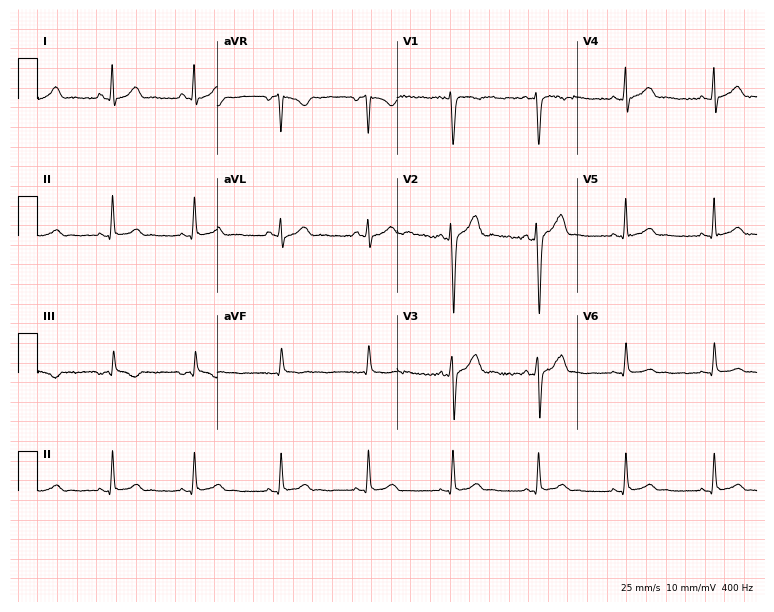
ECG (7.3-second recording at 400 Hz) — a 30-year-old man. Screened for six findings — first-degree AV block, right bundle branch block (RBBB), left bundle branch block (LBBB), sinus bradycardia, atrial fibrillation (AF), sinus tachycardia — none is recorded. Only these six findings were labelled.